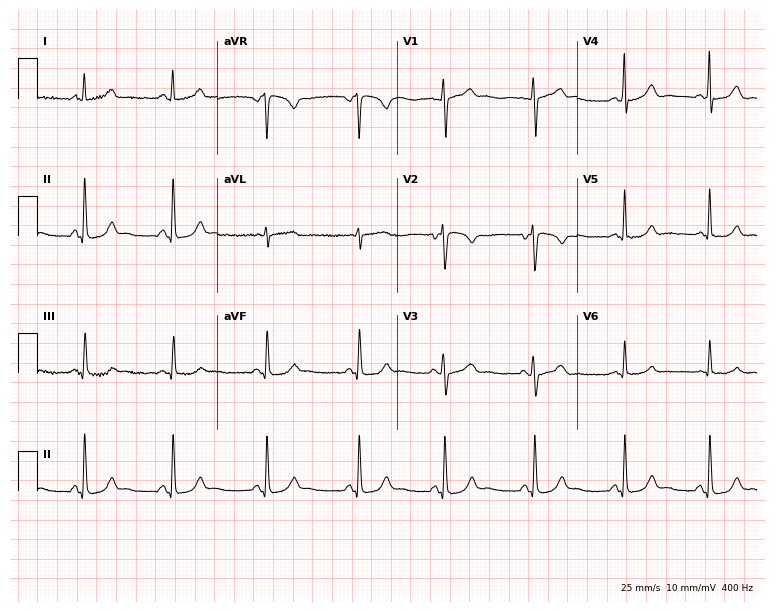
ECG — a woman, 27 years old. Labelled as a normal ECG.